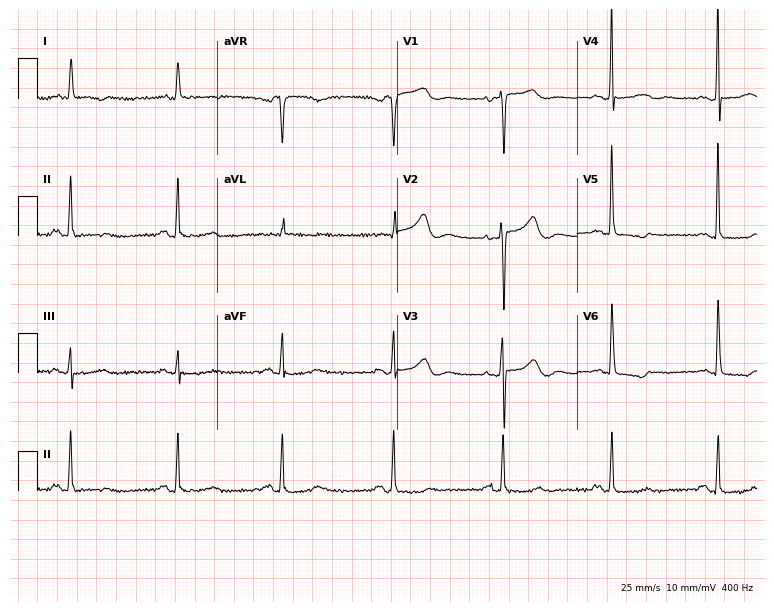
12-lead ECG from a woman, 76 years old. No first-degree AV block, right bundle branch block, left bundle branch block, sinus bradycardia, atrial fibrillation or sinus tachycardia recorded for this tracing.